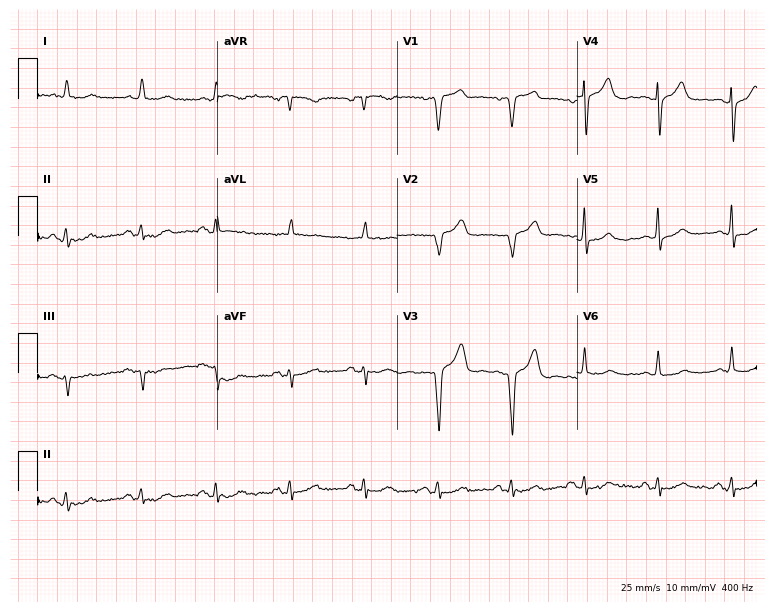
ECG — a 73-year-old male patient. Screened for six findings — first-degree AV block, right bundle branch block, left bundle branch block, sinus bradycardia, atrial fibrillation, sinus tachycardia — none is recorded.